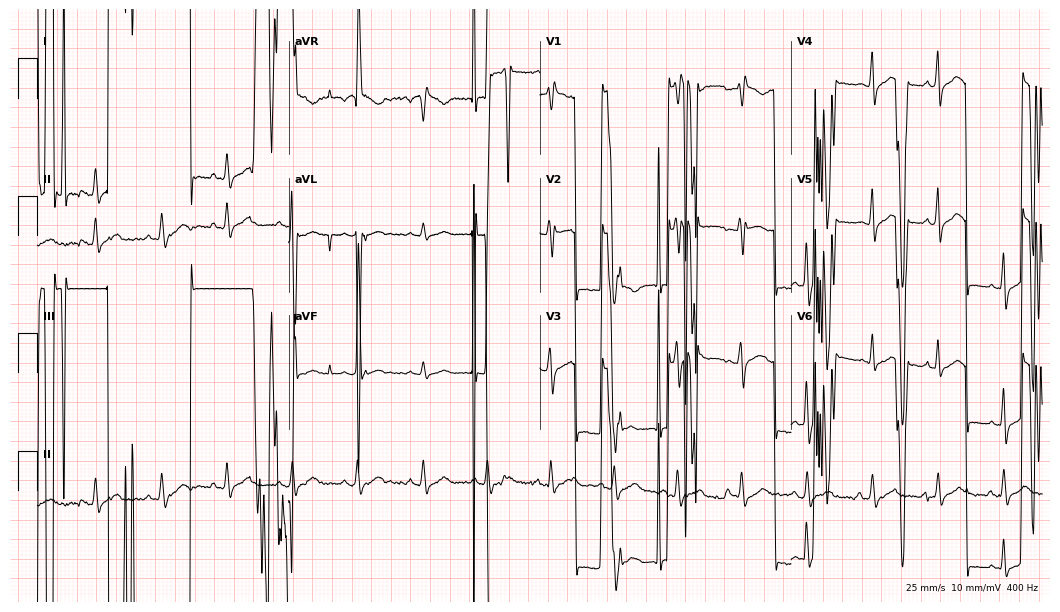
Resting 12-lead electrocardiogram. Patient: a 57-year-old man. None of these six findings is recorded: first-degree AV block, right bundle branch block, left bundle branch block, sinus bradycardia, atrial fibrillation, sinus tachycardia. Only these six findings were labelled.